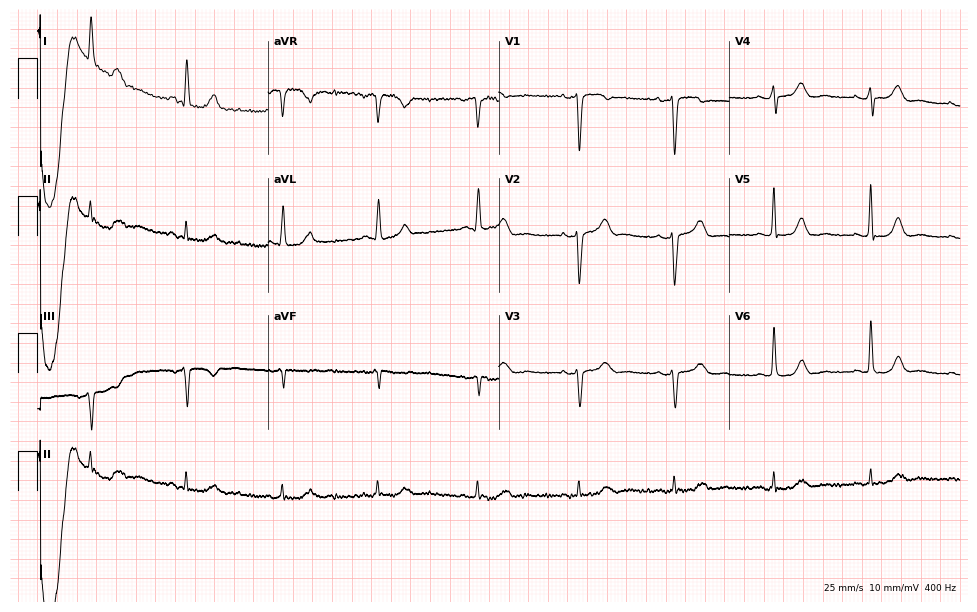
12-lead ECG from a female patient, 56 years old (9.4-second recording at 400 Hz). No first-degree AV block, right bundle branch block, left bundle branch block, sinus bradycardia, atrial fibrillation or sinus tachycardia recorded for this tracing.